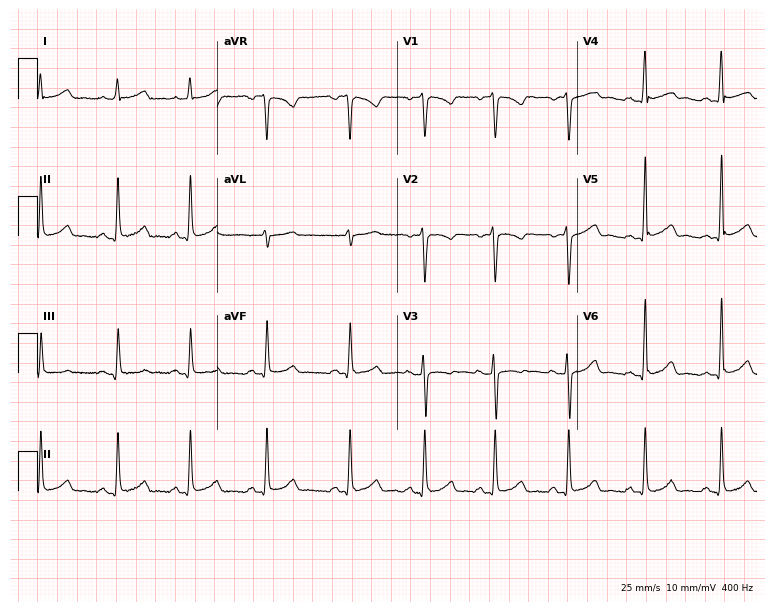
Electrocardiogram (7.3-second recording at 400 Hz), a 28-year-old female patient. Of the six screened findings (first-degree AV block, right bundle branch block, left bundle branch block, sinus bradycardia, atrial fibrillation, sinus tachycardia), none is recorded.